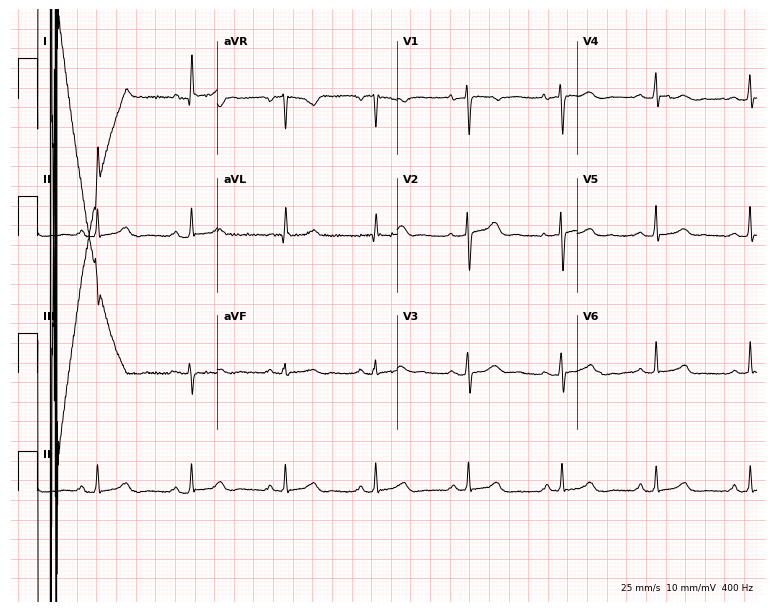
Electrocardiogram (7.3-second recording at 400 Hz), a 41-year-old woman. Overall reading on record: normal ECG.